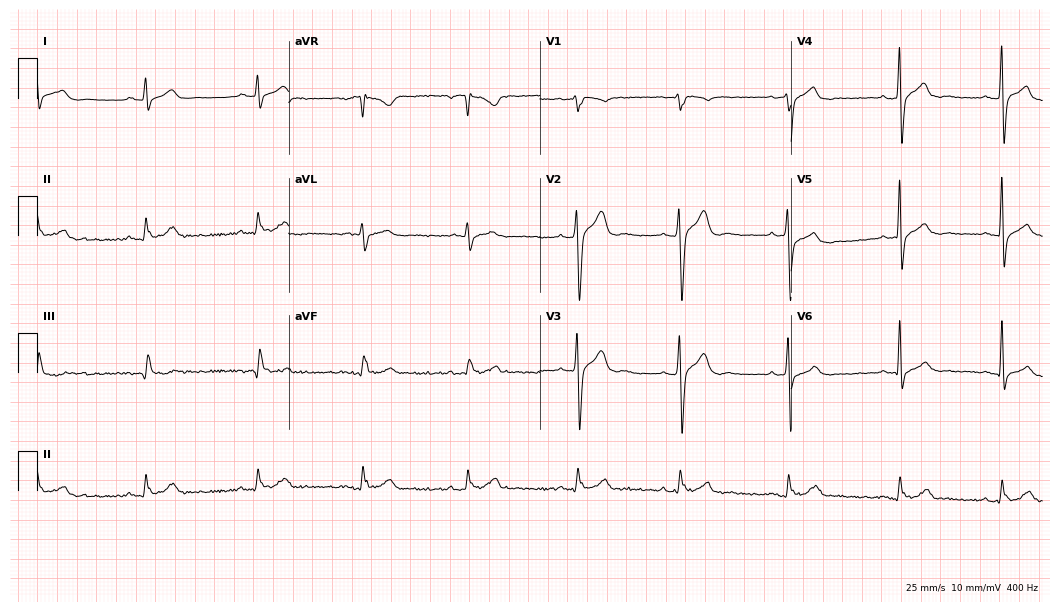
12-lead ECG from a 30-year-old male. Screened for six findings — first-degree AV block, right bundle branch block (RBBB), left bundle branch block (LBBB), sinus bradycardia, atrial fibrillation (AF), sinus tachycardia — none is recorded. Only these six findings were labelled.